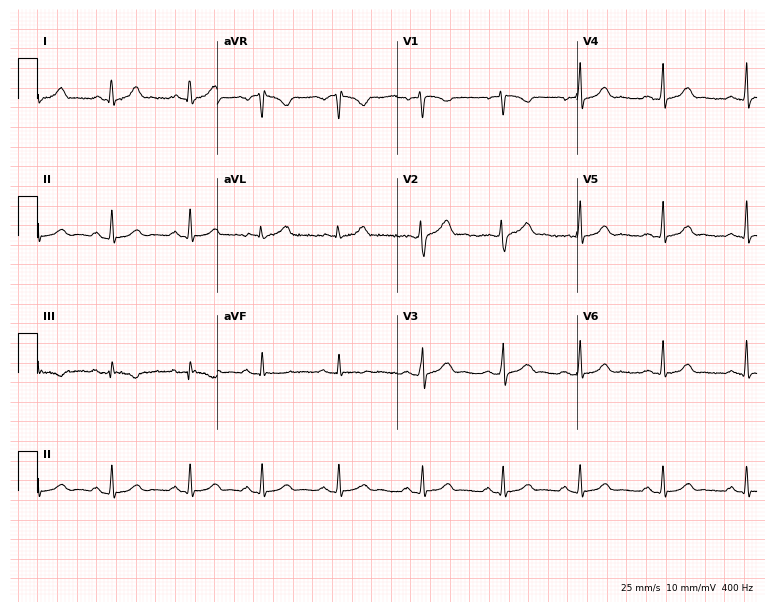
Standard 12-lead ECG recorded from a female, 34 years old. Read as a normal ECG.